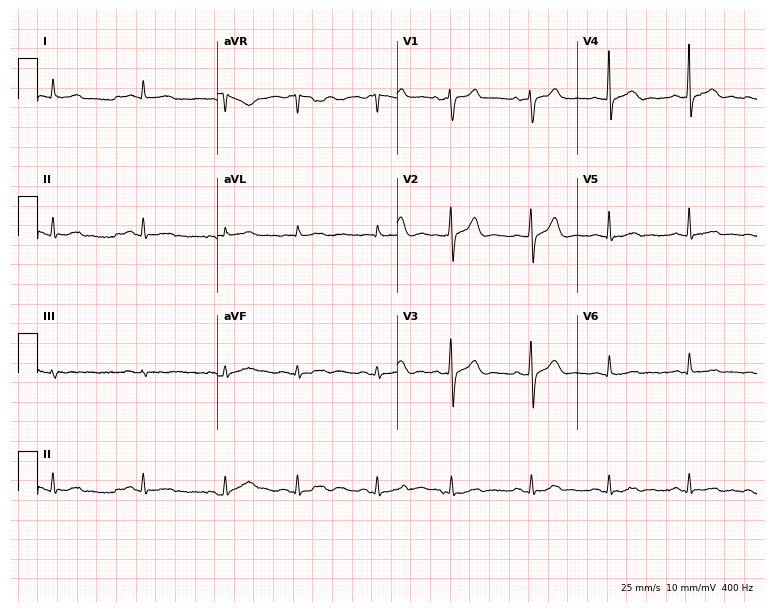
12-lead ECG from a male patient, 85 years old. No first-degree AV block, right bundle branch block, left bundle branch block, sinus bradycardia, atrial fibrillation or sinus tachycardia recorded for this tracing.